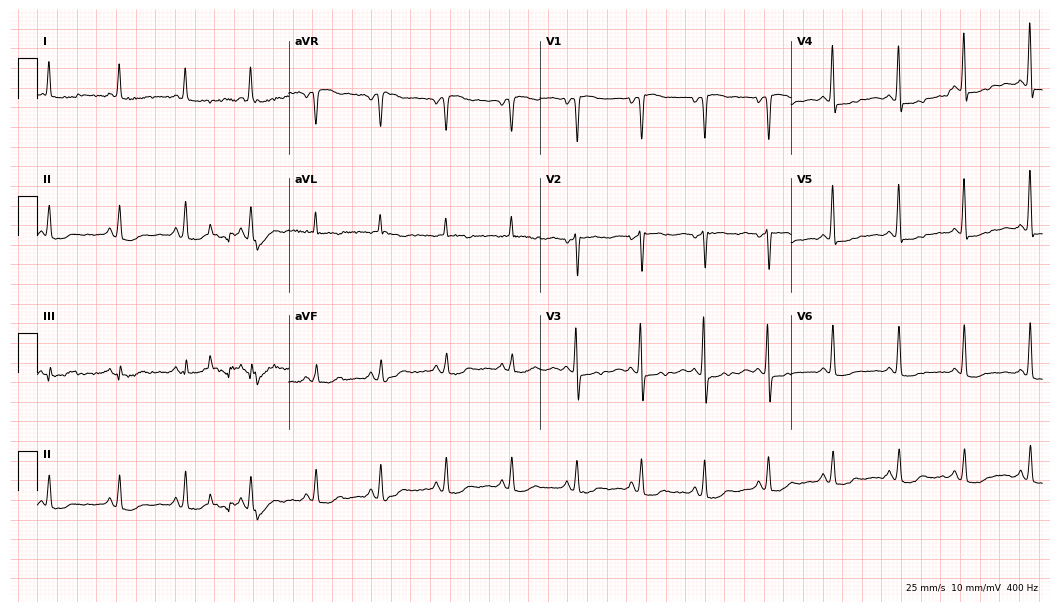
Standard 12-lead ECG recorded from a female, 77 years old. None of these six findings is recorded: first-degree AV block, right bundle branch block (RBBB), left bundle branch block (LBBB), sinus bradycardia, atrial fibrillation (AF), sinus tachycardia.